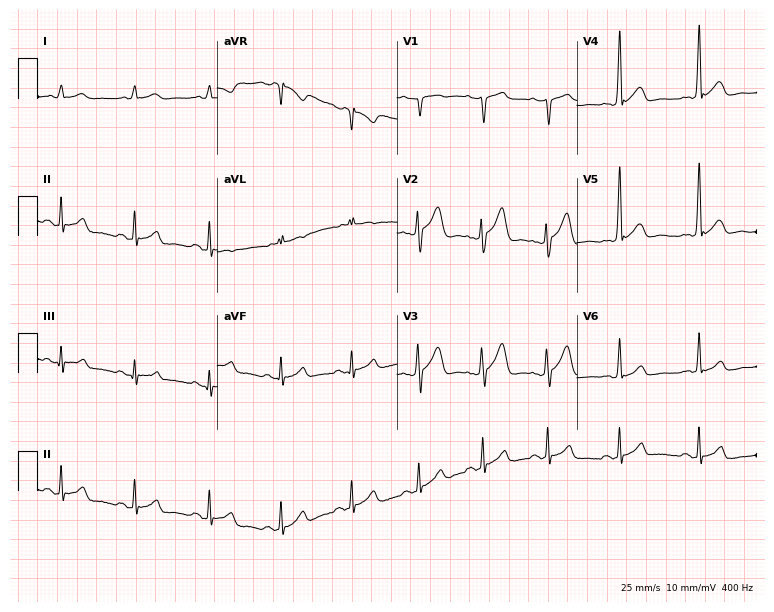
12-lead ECG from a 29-year-old male. Screened for six findings — first-degree AV block, right bundle branch block, left bundle branch block, sinus bradycardia, atrial fibrillation, sinus tachycardia — none is recorded. Other findings, if any, are not listed.